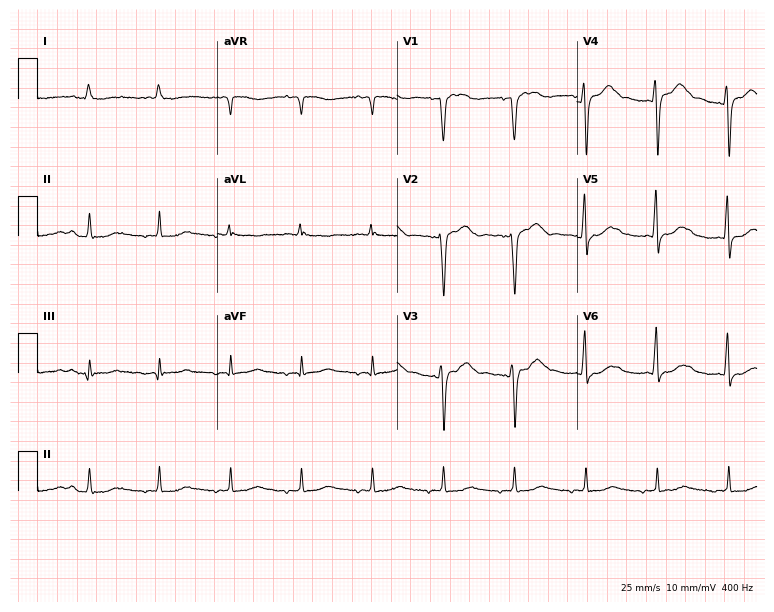
12-lead ECG from an 83-year-old male (7.3-second recording at 400 Hz). No first-degree AV block, right bundle branch block, left bundle branch block, sinus bradycardia, atrial fibrillation or sinus tachycardia recorded for this tracing. Only these six findings were labelled.